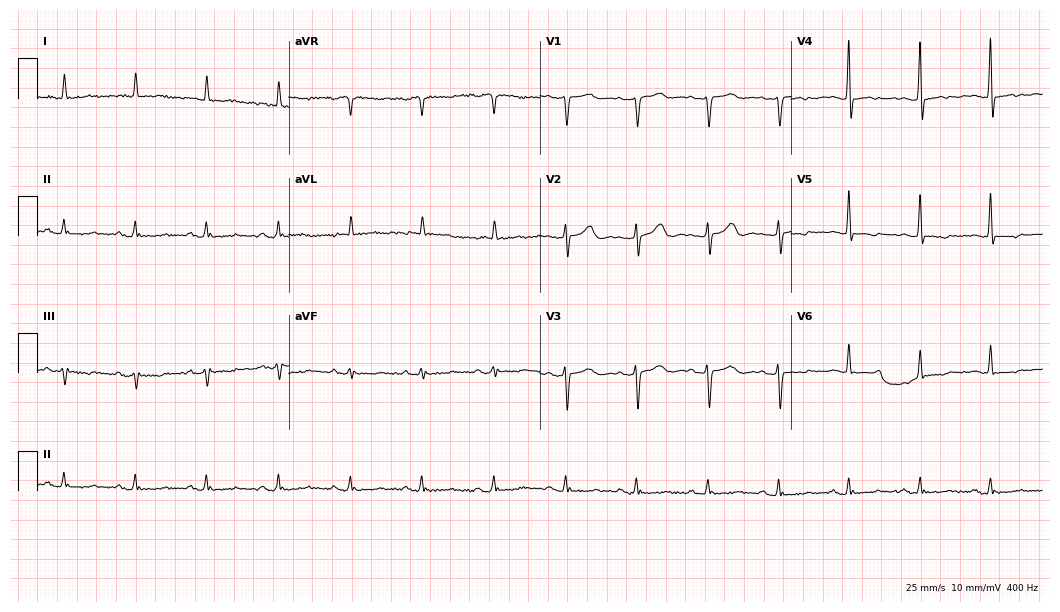
Electrocardiogram (10.2-second recording at 400 Hz), a man, 65 years old. Of the six screened findings (first-degree AV block, right bundle branch block (RBBB), left bundle branch block (LBBB), sinus bradycardia, atrial fibrillation (AF), sinus tachycardia), none is recorded. Findings outside these six are not listed.